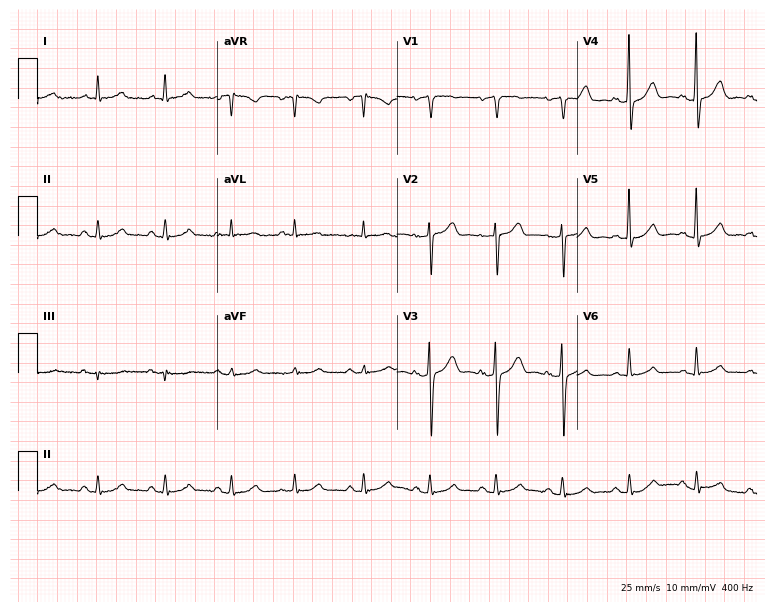
Electrocardiogram (7.3-second recording at 400 Hz), a male, 79 years old. Overall reading on record: normal ECG.